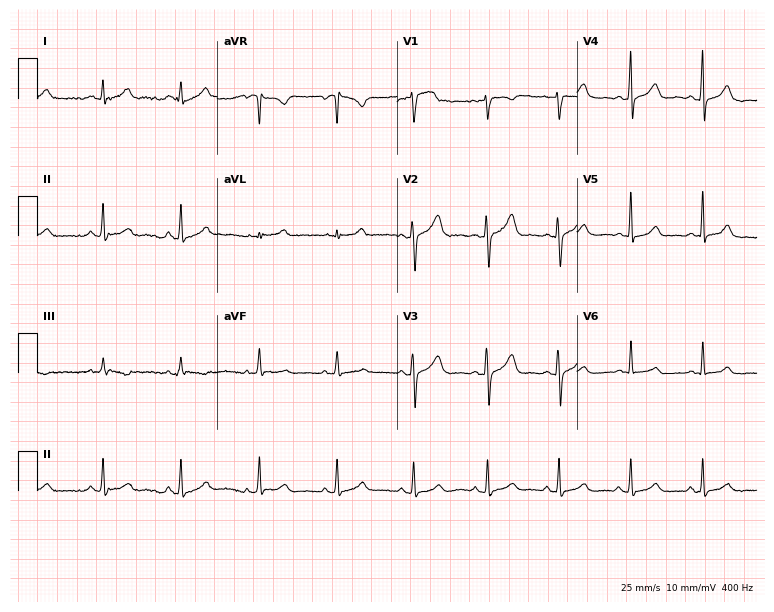
12-lead ECG from a female patient, 34 years old. Labelled as a normal ECG.